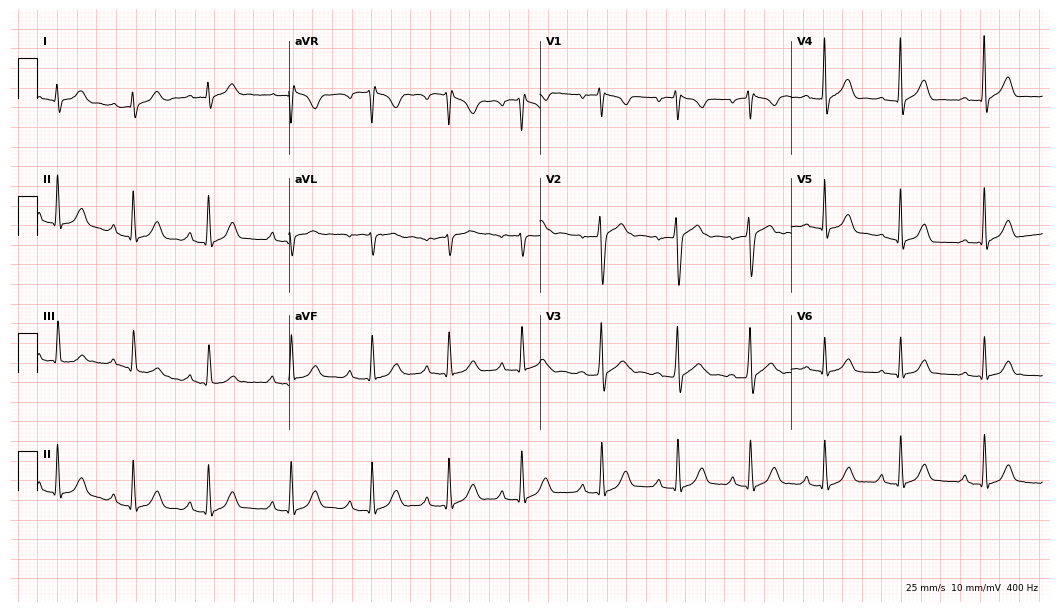
Resting 12-lead electrocardiogram (10.2-second recording at 400 Hz). Patient: a man, 28 years old. Read as a normal ECG.